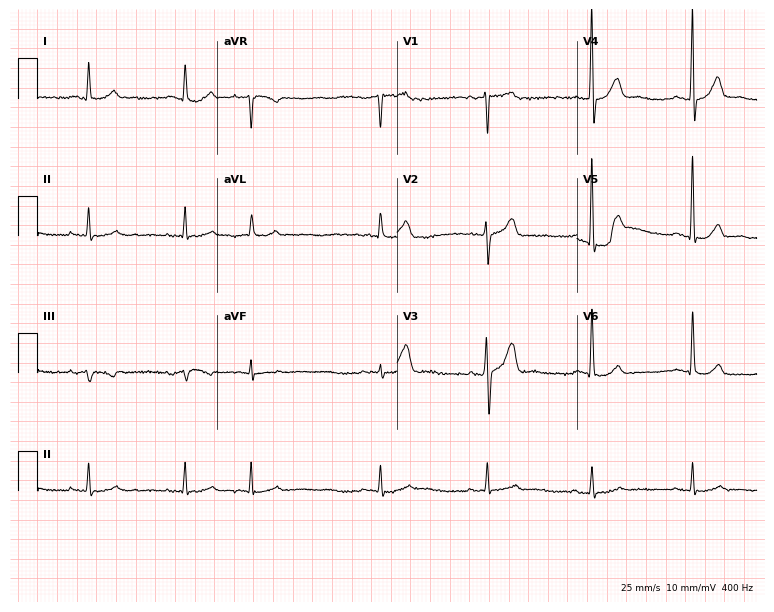
ECG — a man, 77 years old. Screened for six findings — first-degree AV block, right bundle branch block, left bundle branch block, sinus bradycardia, atrial fibrillation, sinus tachycardia — none is recorded.